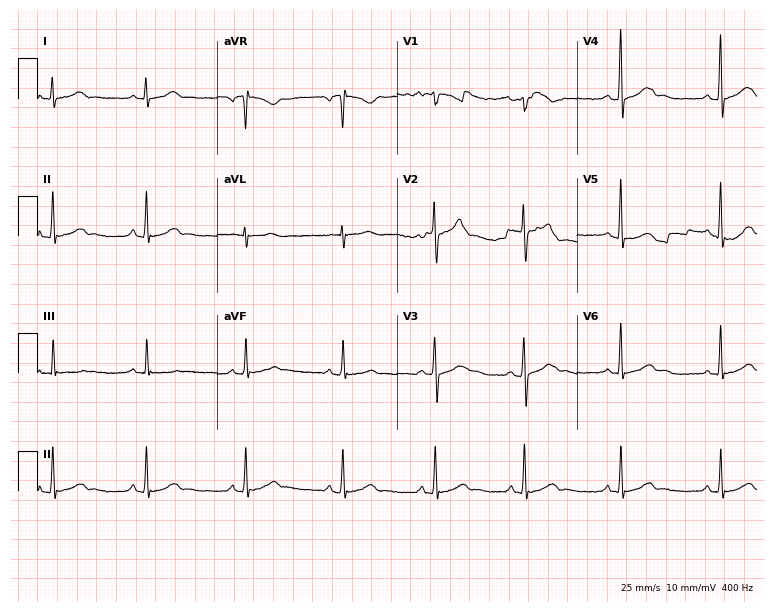
Electrocardiogram (7.3-second recording at 400 Hz), a 34-year-old female. Overall reading on record: normal ECG.